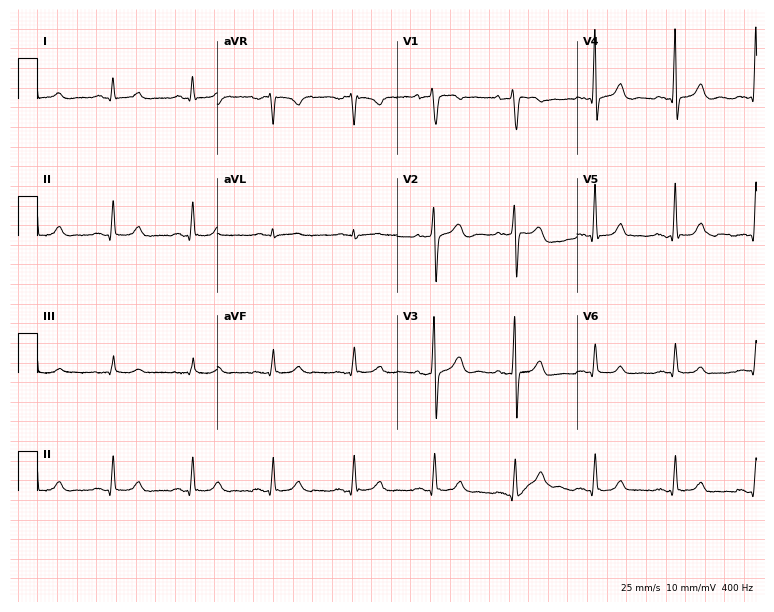
12-lead ECG from a 66-year-old man. Labelled as a normal ECG.